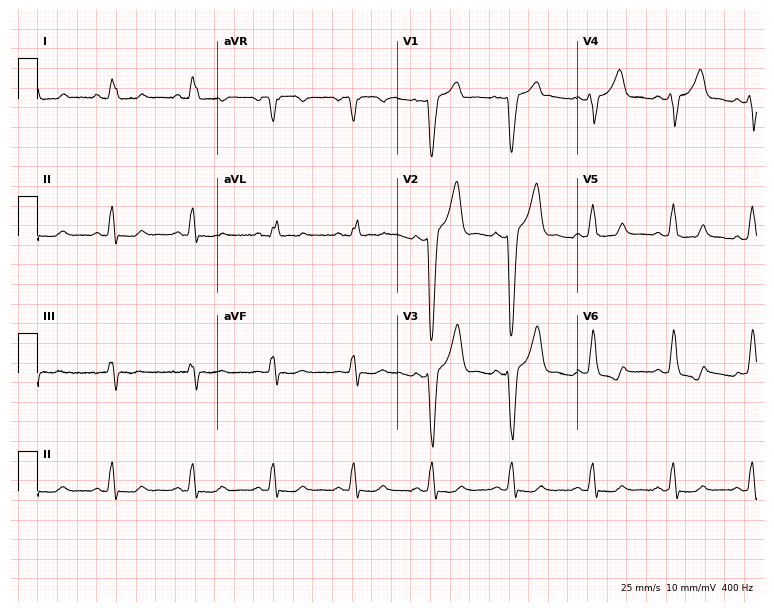
12-lead ECG from a female, 47 years old. Findings include left bundle branch block.